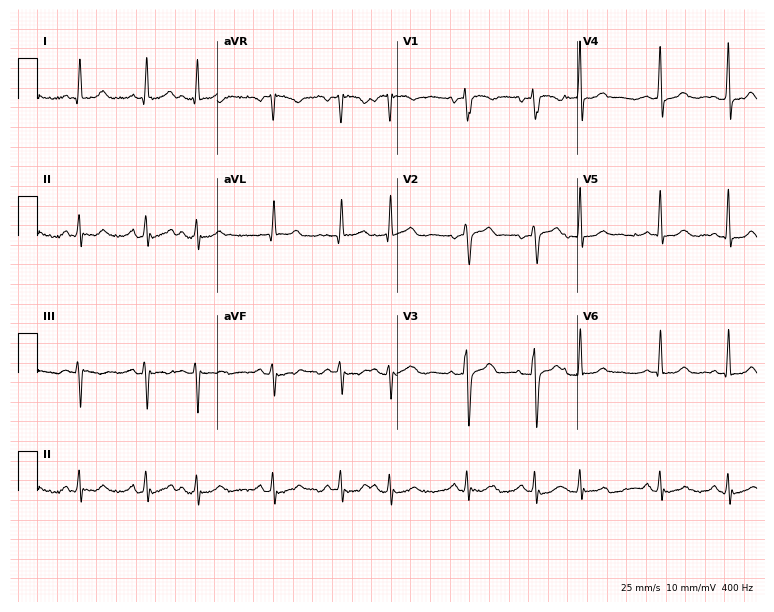
ECG — a man, 73 years old. Labelled as a normal ECG.